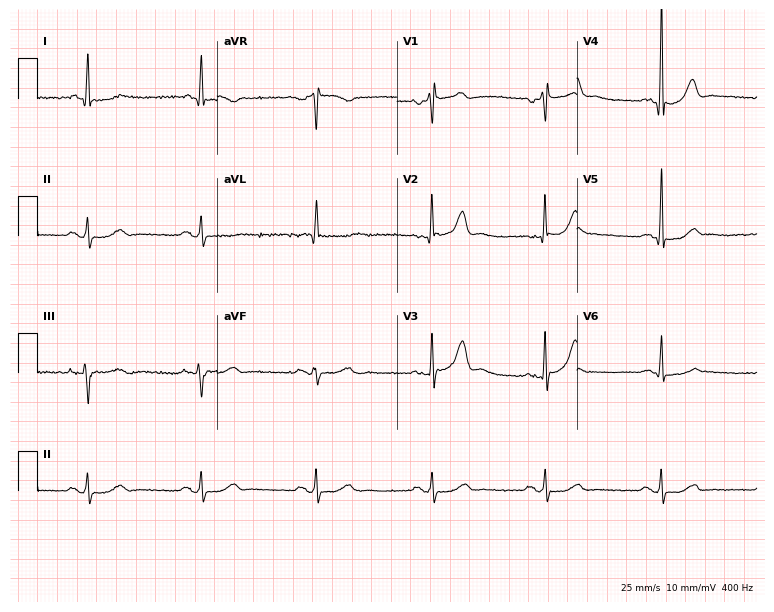
ECG (7.3-second recording at 400 Hz) — a male patient, 65 years old. Screened for six findings — first-degree AV block, right bundle branch block (RBBB), left bundle branch block (LBBB), sinus bradycardia, atrial fibrillation (AF), sinus tachycardia — none is recorded.